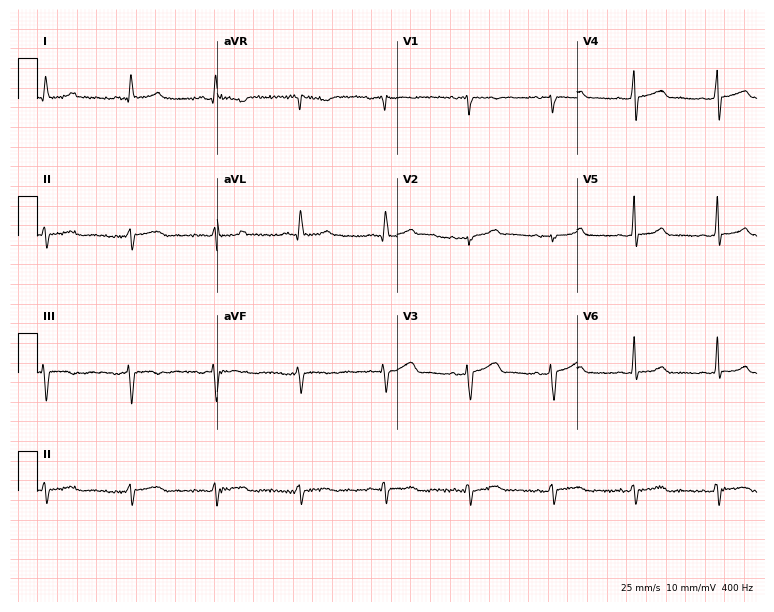
Resting 12-lead electrocardiogram (7.3-second recording at 400 Hz). Patient: a 44-year-old female. Read as a normal ECG.